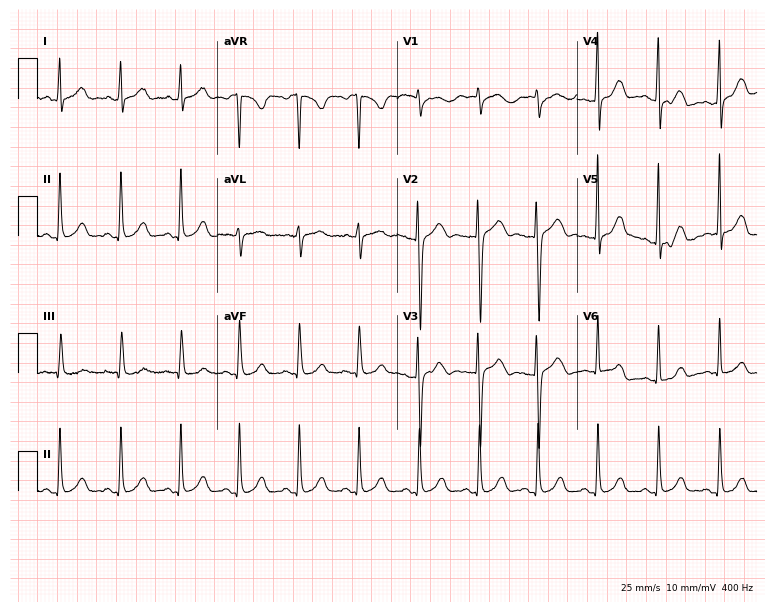
Resting 12-lead electrocardiogram. Patient: a female, 36 years old. Read as a normal ECG.